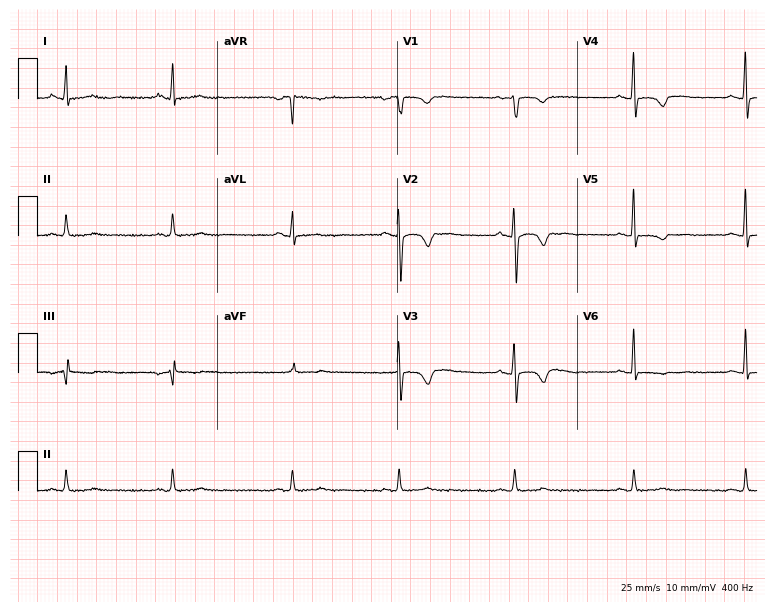
12-lead ECG from a 32-year-old female patient (7.3-second recording at 400 Hz). No first-degree AV block, right bundle branch block, left bundle branch block, sinus bradycardia, atrial fibrillation or sinus tachycardia recorded for this tracing. Other findings, if any, are not listed.